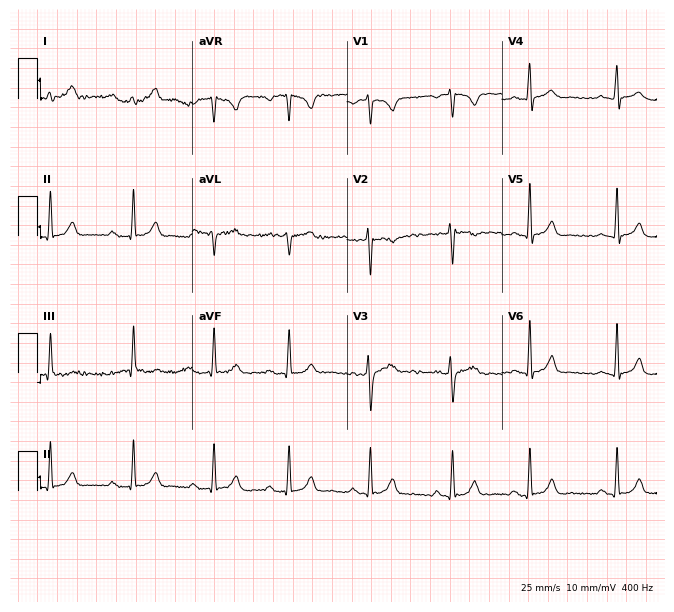
Resting 12-lead electrocardiogram (6.3-second recording at 400 Hz). Patient: a female, 17 years old. None of these six findings is recorded: first-degree AV block, right bundle branch block, left bundle branch block, sinus bradycardia, atrial fibrillation, sinus tachycardia. Only these six findings were labelled.